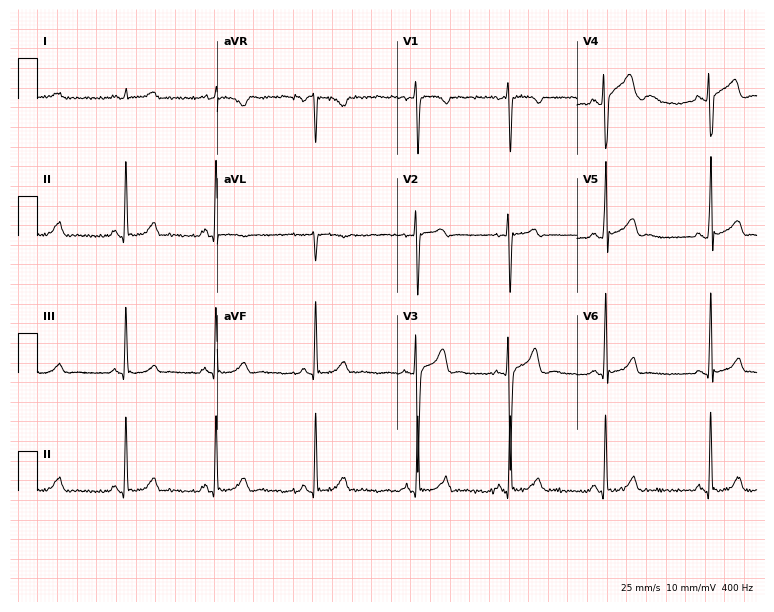
12-lead ECG (7.3-second recording at 400 Hz) from a male patient, 19 years old. Screened for six findings — first-degree AV block, right bundle branch block (RBBB), left bundle branch block (LBBB), sinus bradycardia, atrial fibrillation (AF), sinus tachycardia — none is recorded. Other findings, if any, are not listed.